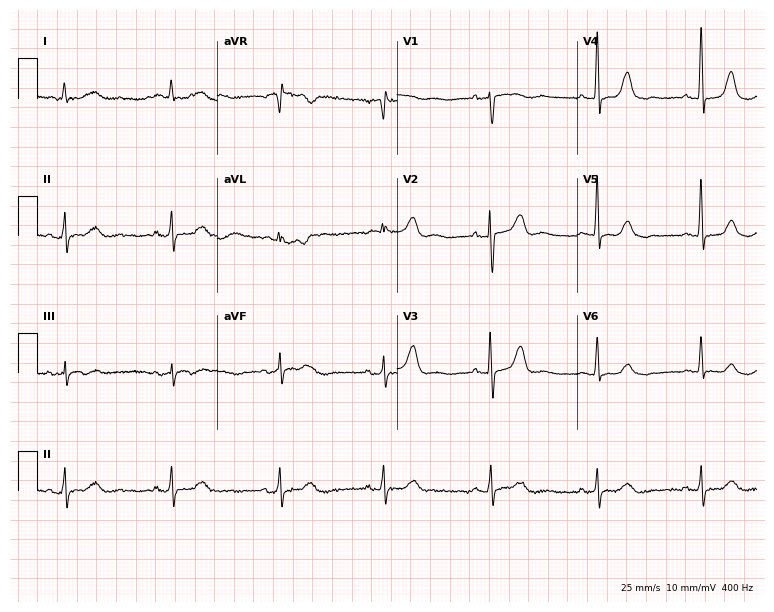
12-lead ECG from a female patient, 83 years old (7.3-second recording at 400 Hz). Recorded interpretation: within normal limits.